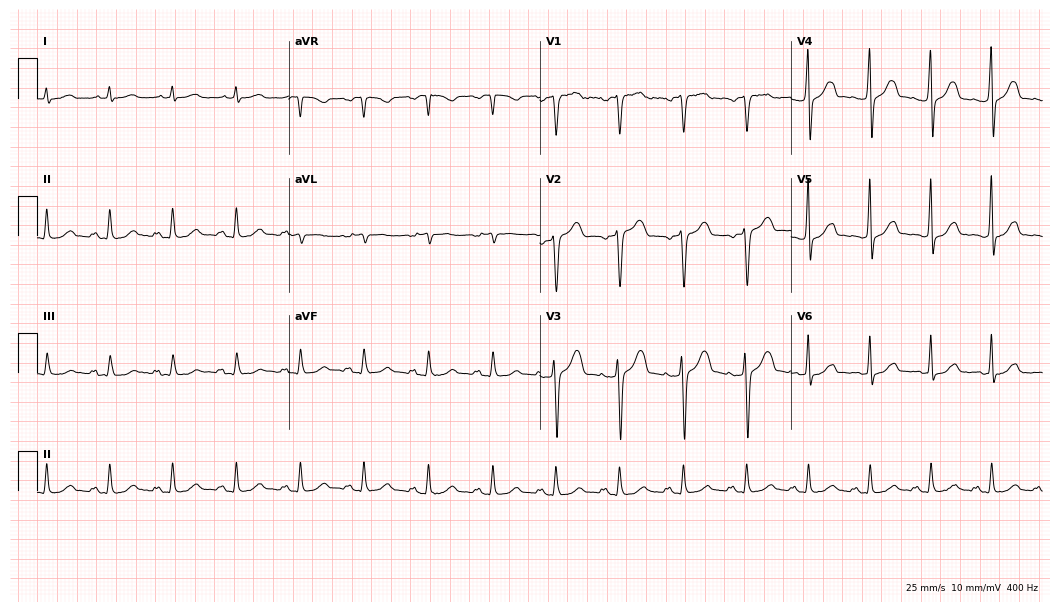
ECG (10.2-second recording at 400 Hz) — a male, 48 years old. Labelled as a normal ECG.